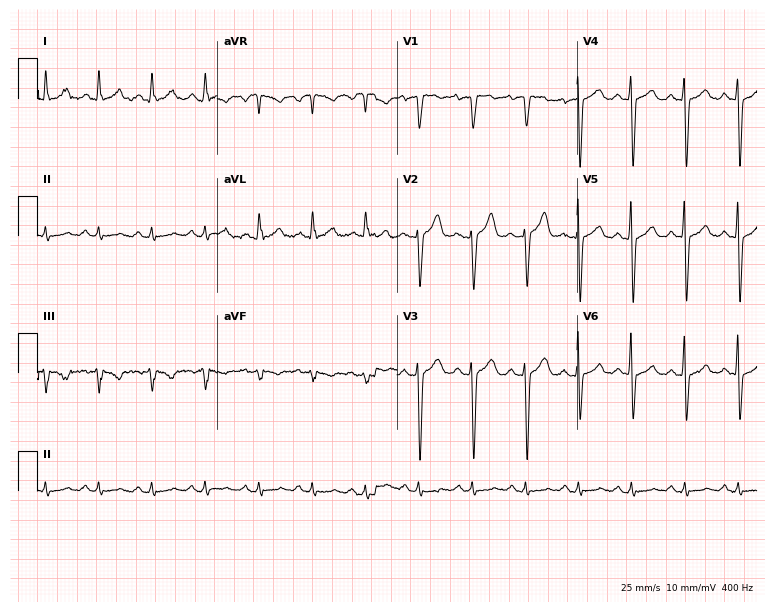
ECG (7.3-second recording at 400 Hz) — a 59-year-old man. Screened for six findings — first-degree AV block, right bundle branch block (RBBB), left bundle branch block (LBBB), sinus bradycardia, atrial fibrillation (AF), sinus tachycardia — none is recorded. Only these six findings were labelled.